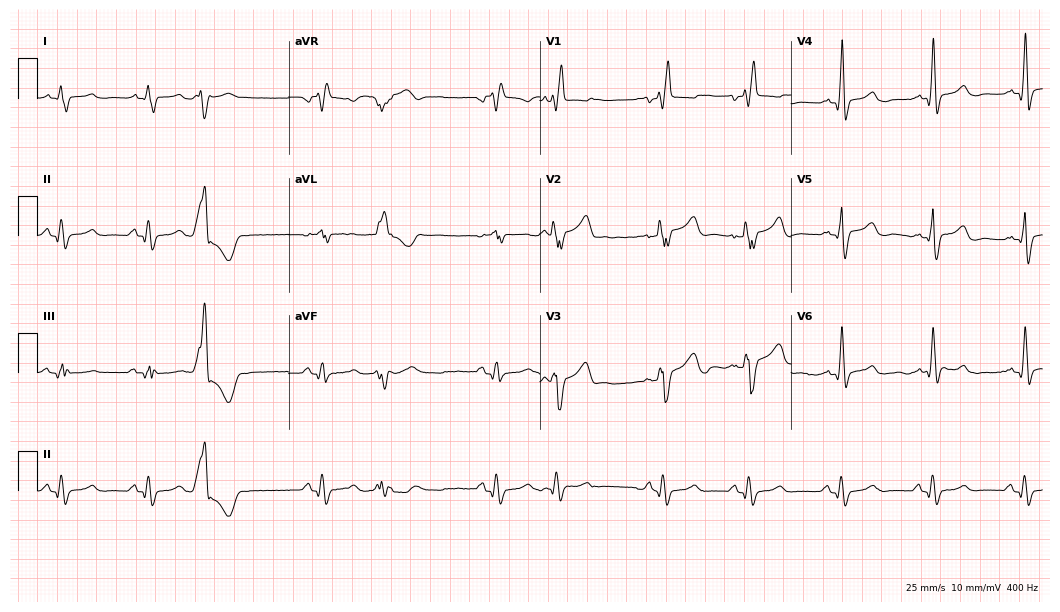
12-lead ECG from a man, 61 years old (10.2-second recording at 400 Hz). No first-degree AV block, right bundle branch block (RBBB), left bundle branch block (LBBB), sinus bradycardia, atrial fibrillation (AF) or sinus tachycardia recorded for this tracing.